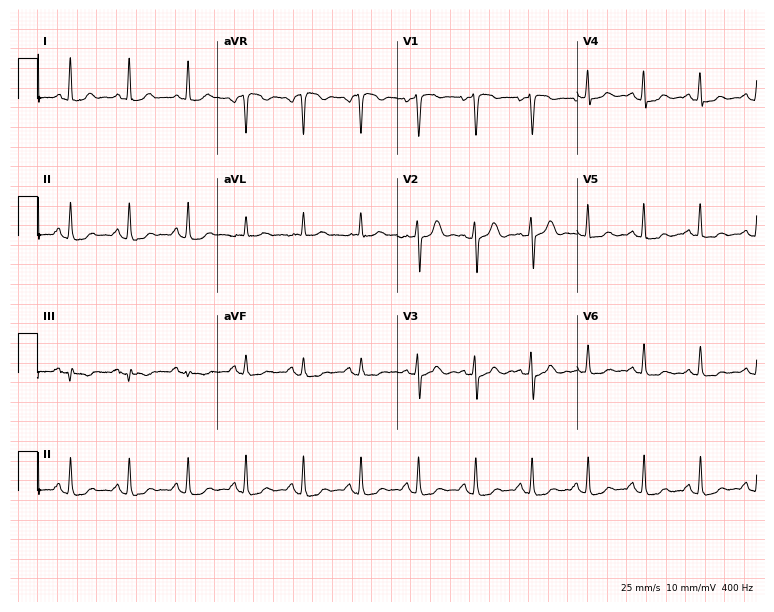
ECG (7.3-second recording at 400 Hz) — a 48-year-old female. Findings include sinus tachycardia (a sinus rate of 100 beats per minute or more).